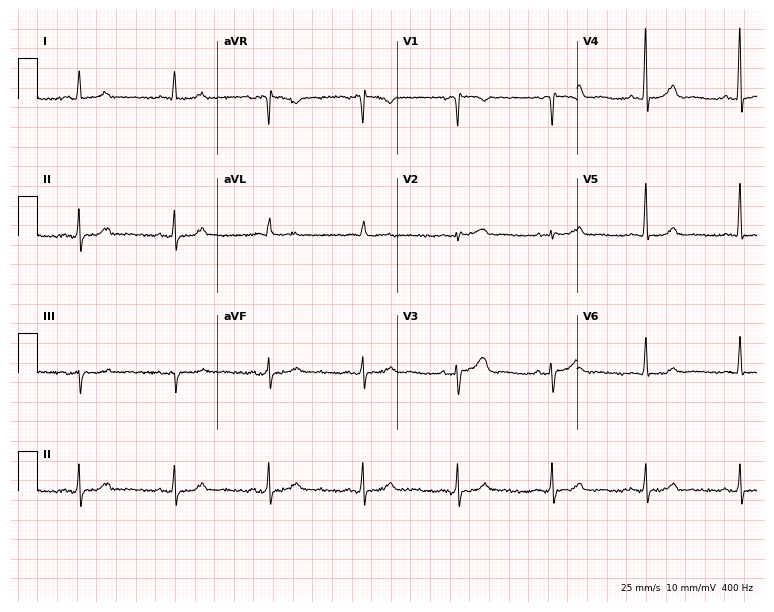
12-lead ECG (7.3-second recording at 400 Hz) from a female, 61 years old. Screened for six findings — first-degree AV block, right bundle branch block (RBBB), left bundle branch block (LBBB), sinus bradycardia, atrial fibrillation (AF), sinus tachycardia — none is recorded. Findings outside these six are not listed.